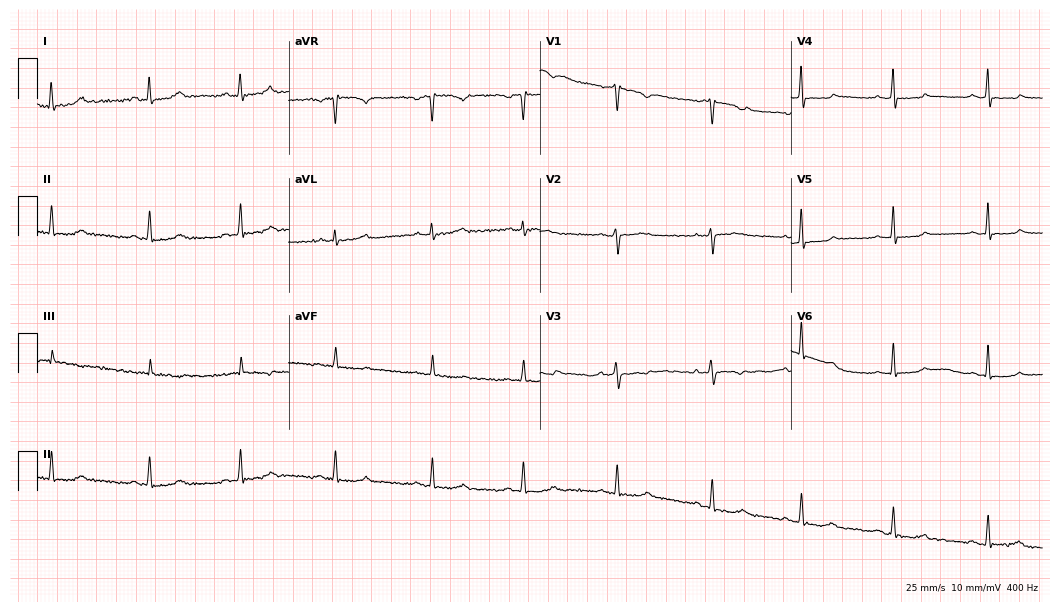
Electrocardiogram, a 46-year-old female. Overall reading on record: normal ECG.